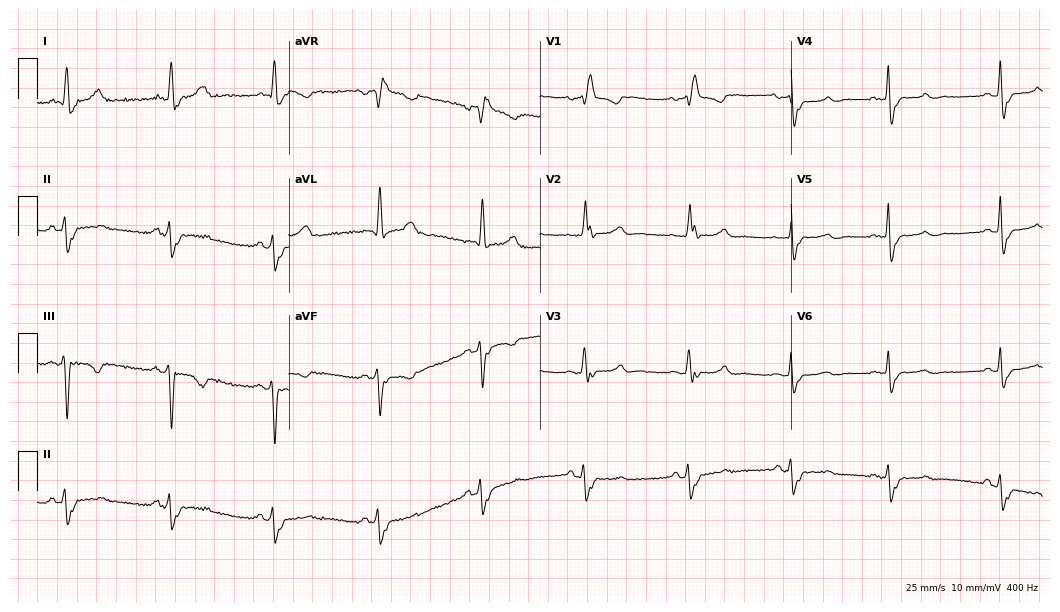
ECG (10.2-second recording at 400 Hz) — a female, 60 years old. Findings include right bundle branch block (RBBB).